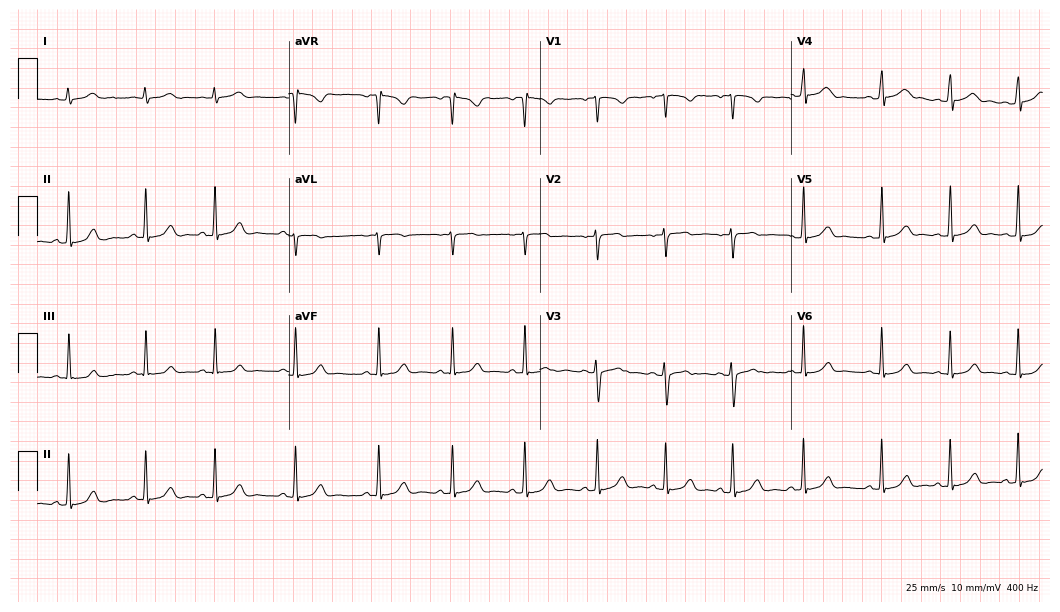
Electrocardiogram (10.2-second recording at 400 Hz), a 19-year-old female patient. Overall reading on record: normal ECG.